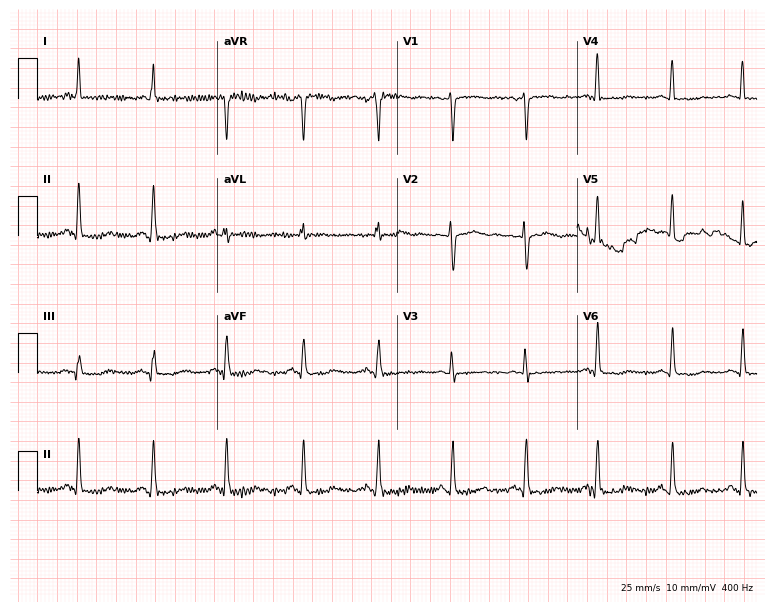
Standard 12-lead ECG recorded from a woman, 46 years old. None of these six findings is recorded: first-degree AV block, right bundle branch block, left bundle branch block, sinus bradycardia, atrial fibrillation, sinus tachycardia. Only these six findings were labelled.